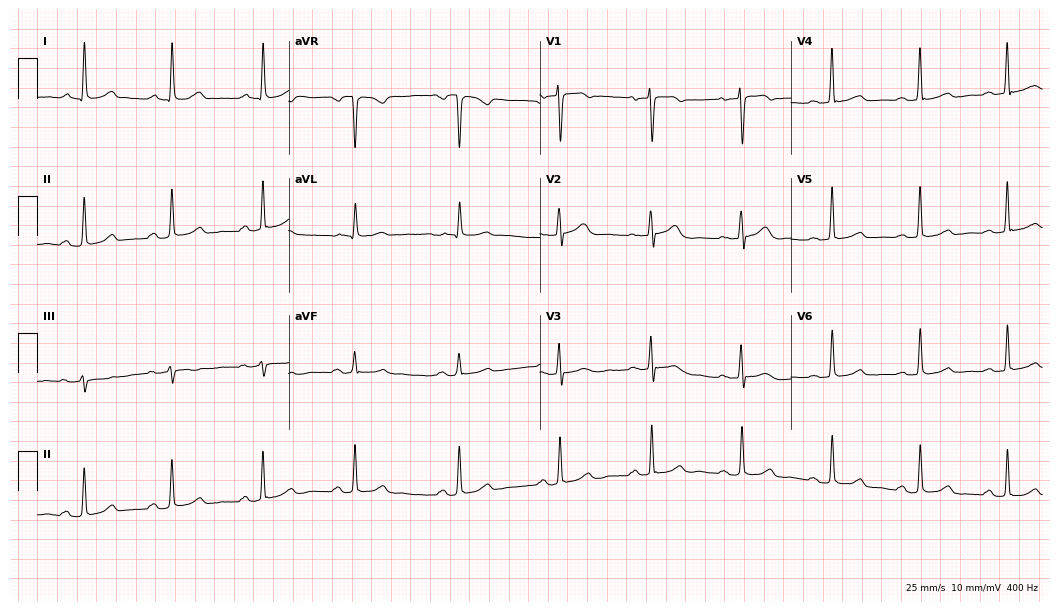
12-lead ECG from a woman, 72 years old (10.2-second recording at 400 Hz). Recorded interpretation: within normal limits.